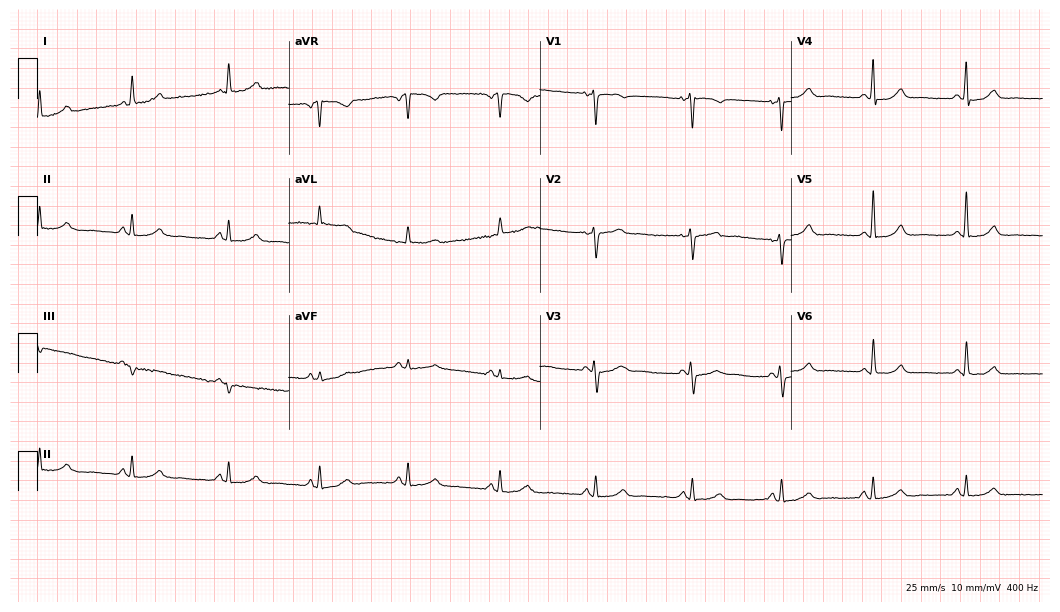
Electrocardiogram (10.2-second recording at 400 Hz), a female, 46 years old. Of the six screened findings (first-degree AV block, right bundle branch block (RBBB), left bundle branch block (LBBB), sinus bradycardia, atrial fibrillation (AF), sinus tachycardia), none is recorded. Only these six findings were labelled.